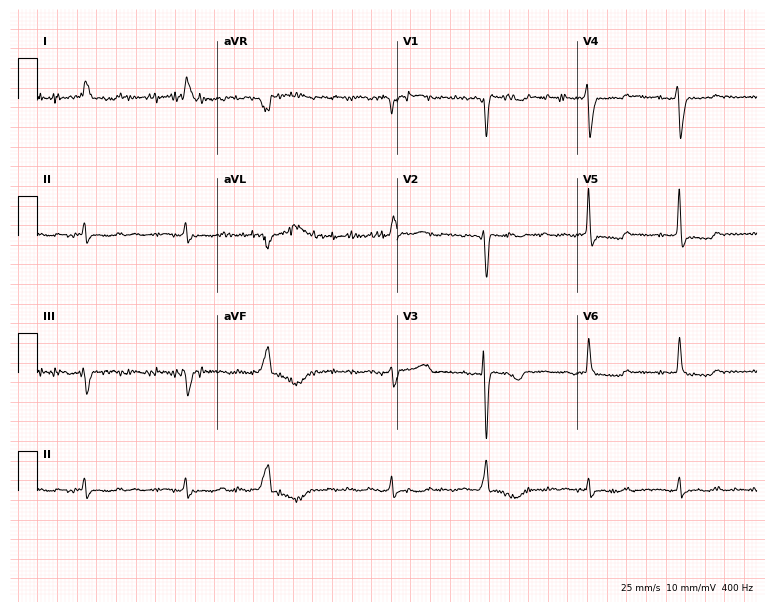
12-lead ECG from a woman, 84 years old. No first-degree AV block, right bundle branch block, left bundle branch block, sinus bradycardia, atrial fibrillation or sinus tachycardia recorded for this tracing.